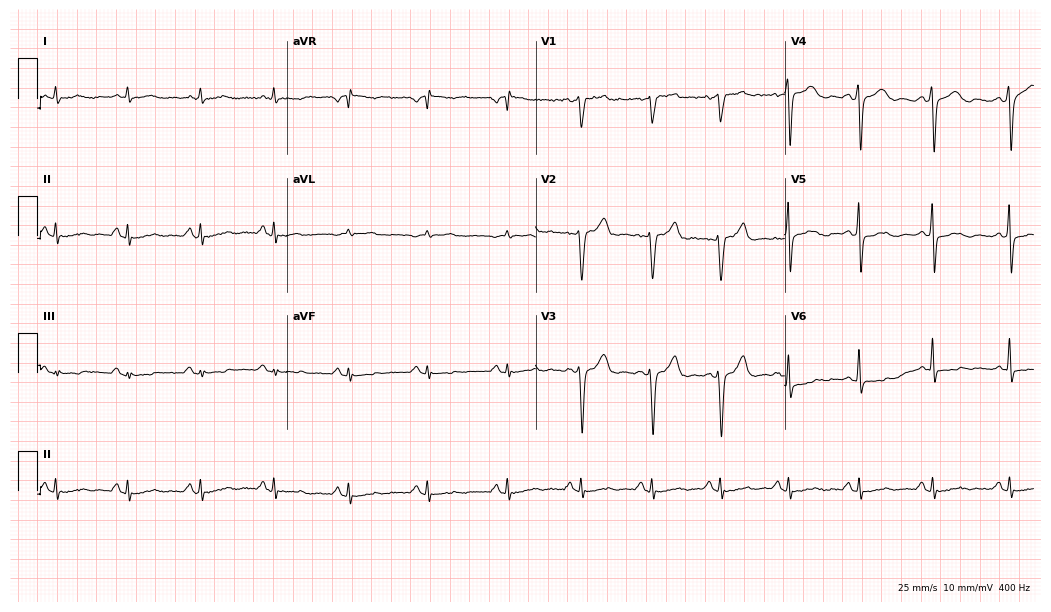
Standard 12-lead ECG recorded from a male, 47 years old (10.2-second recording at 400 Hz). None of these six findings is recorded: first-degree AV block, right bundle branch block, left bundle branch block, sinus bradycardia, atrial fibrillation, sinus tachycardia.